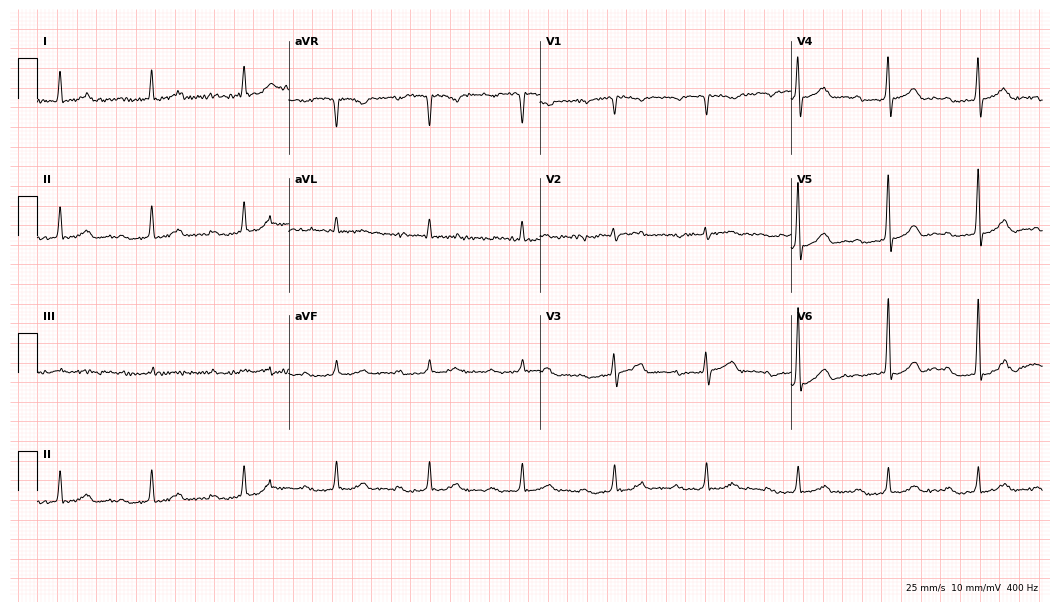
Electrocardiogram (10.2-second recording at 400 Hz), an 84-year-old man. Of the six screened findings (first-degree AV block, right bundle branch block (RBBB), left bundle branch block (LBBB), sinus bradycardia, atrial fibrillation (AF), sinus tachycardia), none is recorded.